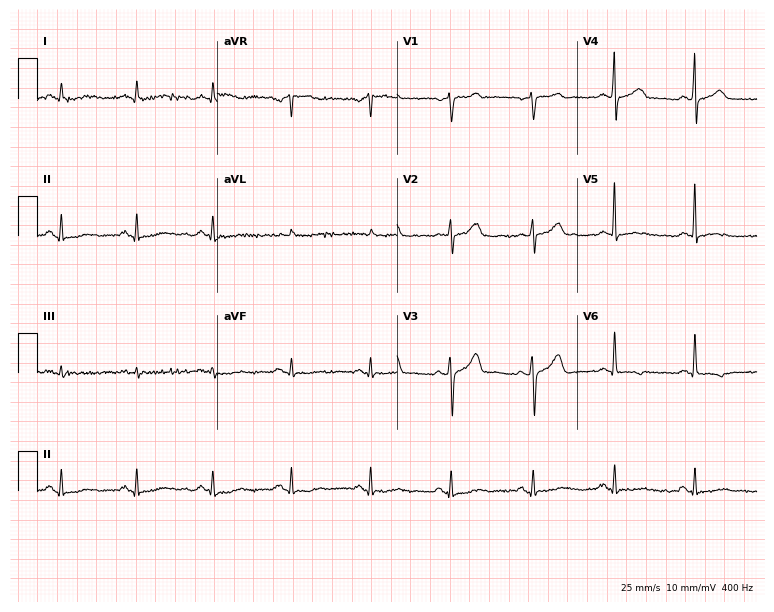
12-lead ECG (7.3-second recording at 400 Hz) from a 78-year-old male patient. Screened for six findings — first-degree AV block, right bundle branch block, left bundle branch block, sinus bradycardia, atrial fibrillation, sinus tachycardia — none is recorded.